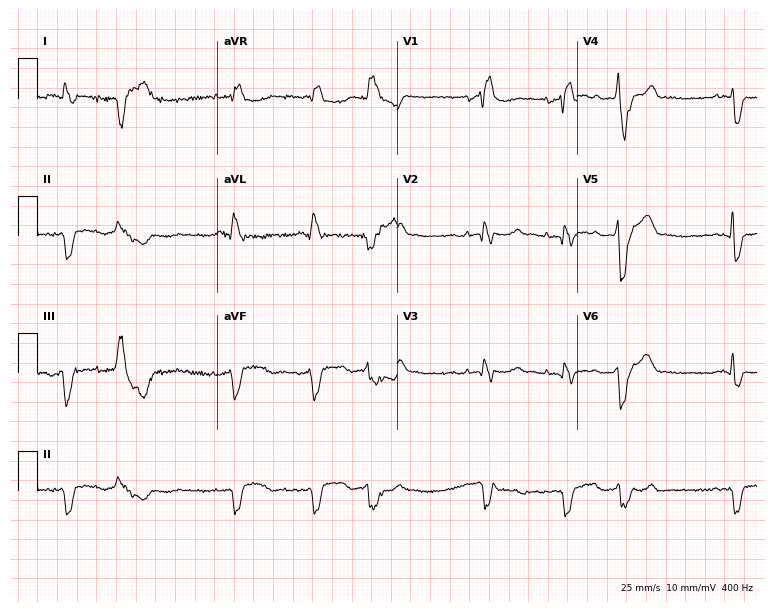
Electrocardiogram (7.3-second recording at 400 Hz), a male, 51 years old. Interpretation includes right bundle branch block.